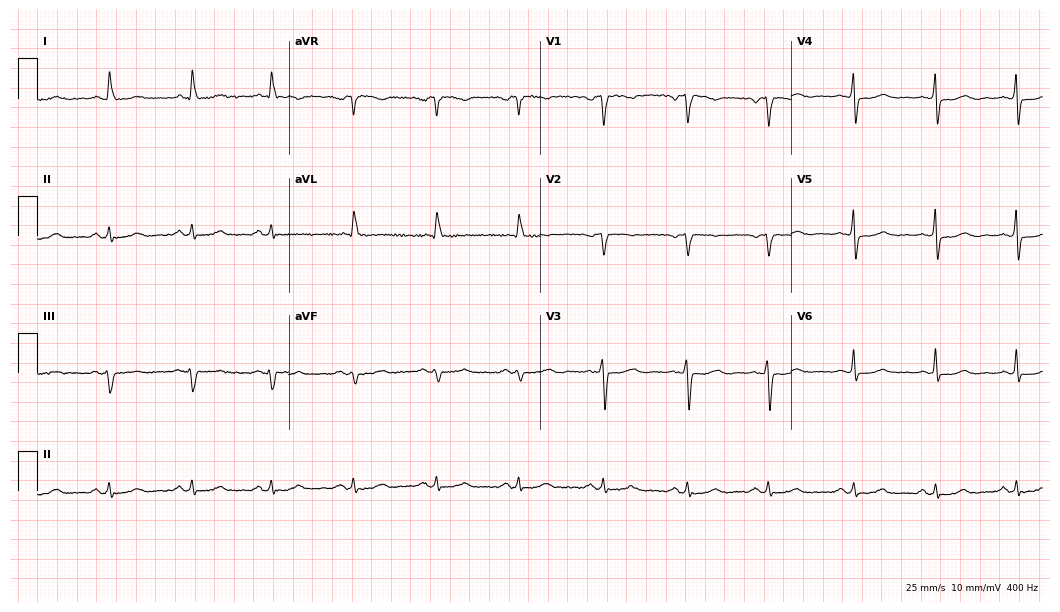
Resting 12-lead electrocardiogram. Patient: a female, 61 years old. None of these six findings is recorded: first-degree AV block, right bundle branch block, left bundle branch block, sinus bradycardia, atrial fibrillation, sinus tachycardia. Other findings, if any, are not listed.